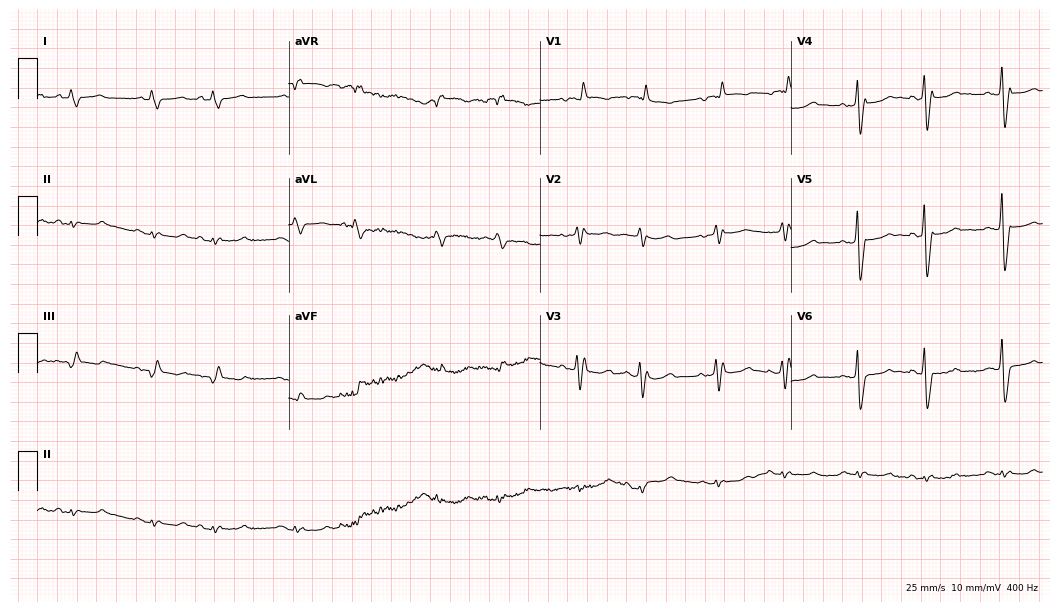
ECG — a man, 85 years old. Findings include right bundle branch block.